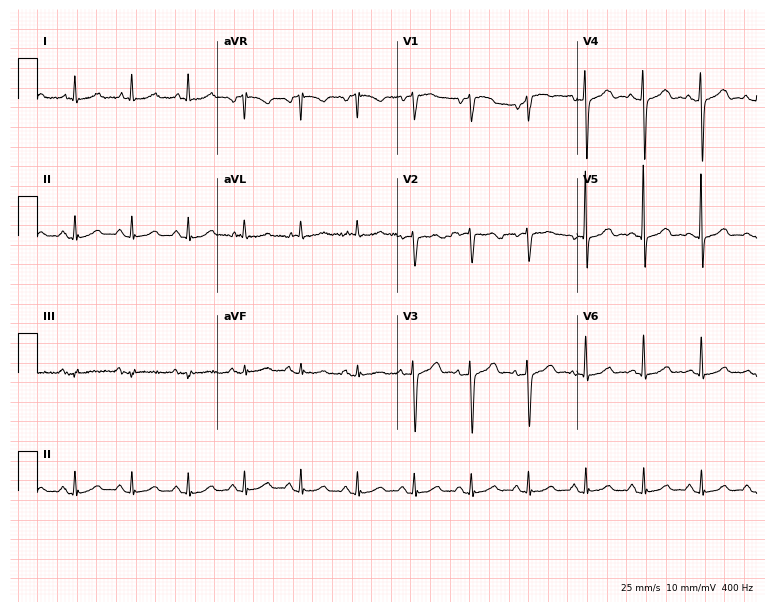
ECG (7.3-second recording at 400 Hz) — a female patient, 75 years old. Screened for six findings — first-degree AV block, right bundle branch block (RBBB), left bundle branch block (LBBB), sinus bradycardia, atrial fibrillation (AF), sinus tachycardia — none is recorded.